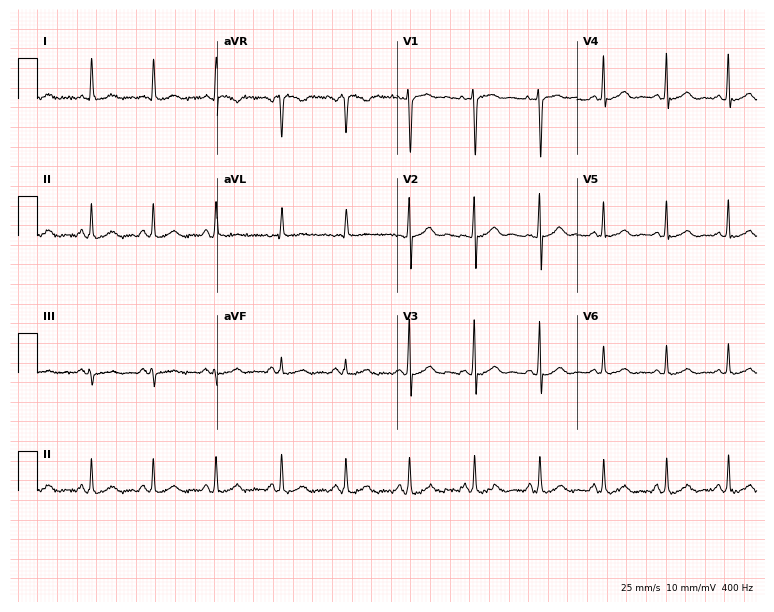
12-lead ECG from a 28-year-old female. Screened for six findings — first-degree AV block, right bundle branch block, left bundle branch block, sinus bradycardia, atrial fibrillation, sinus tachycardia — none is recorded. Other findings, if any, are not listed.